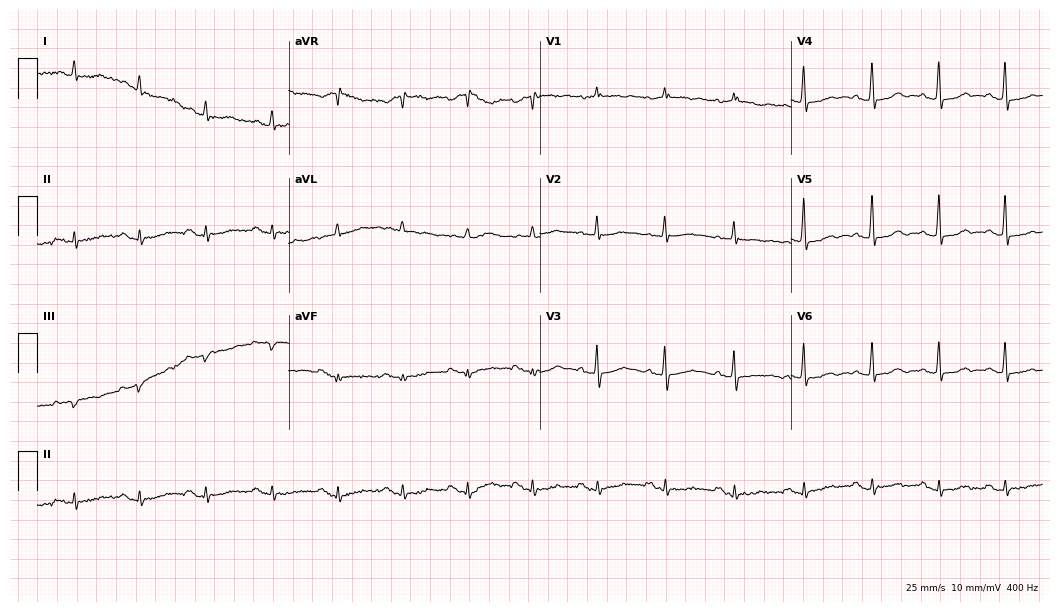
Electrocardiogram (10.2-second recording at 400 Hz), a 68-year-old woman. Of the six screened findings (first-degree AV block, right bundle branch block, left bundle branch block, sinus bradycardia, atrial fibrillation, sinus tachycardia), none is recorded. Findings outside these six are not listed.